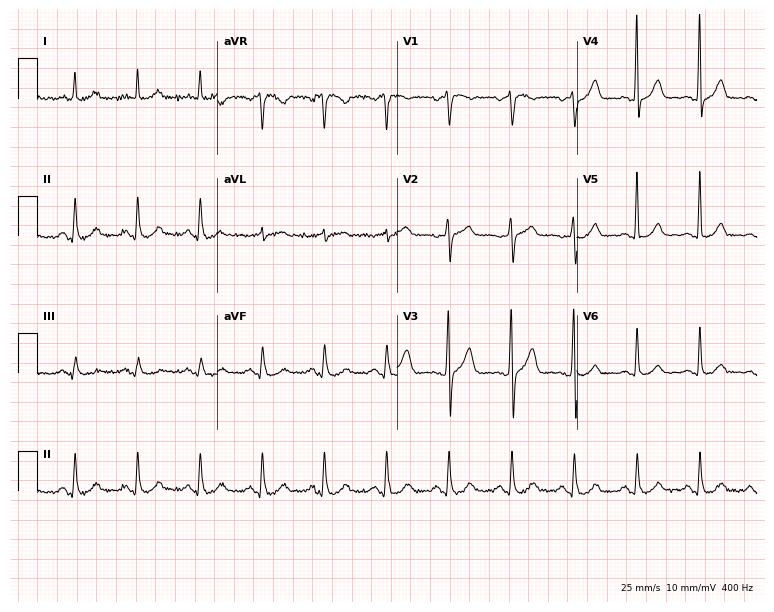
Standard 12-lead ECG recorded from a male patient, 69 years old. Read as a normal ECG.